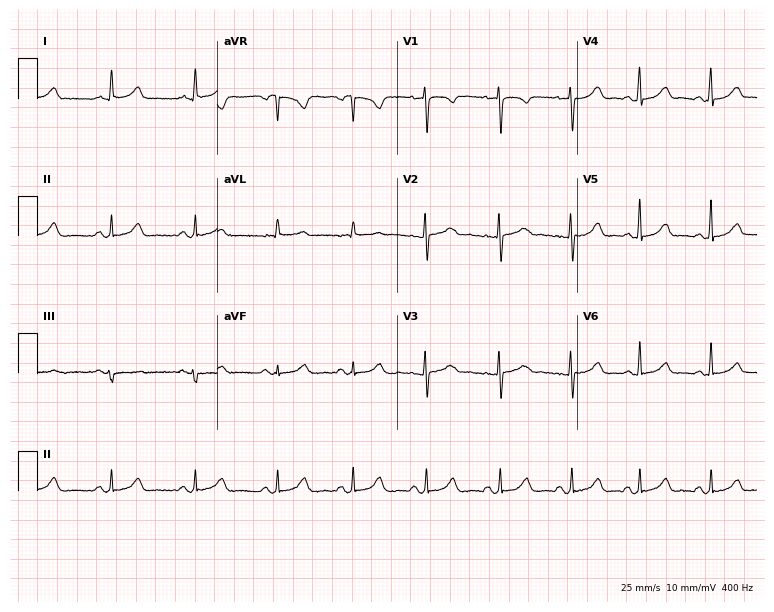
Resting 12-lead electrocardiogram. Patient: a female, 31 years old. Read as a normal ECG.